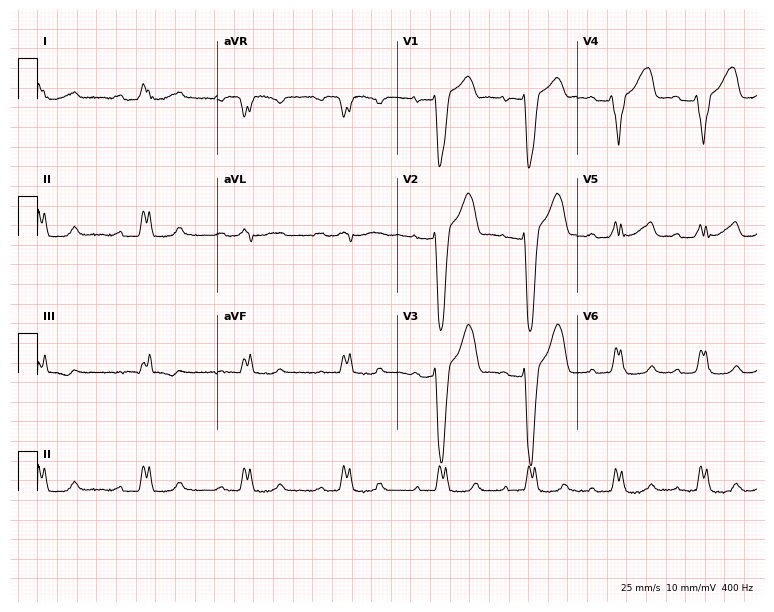
12-lead ECG from a 73-year-old male (7.3-second recording at 400 Hz). Shows first-degree AV block, left bundle branch block (LBBB).